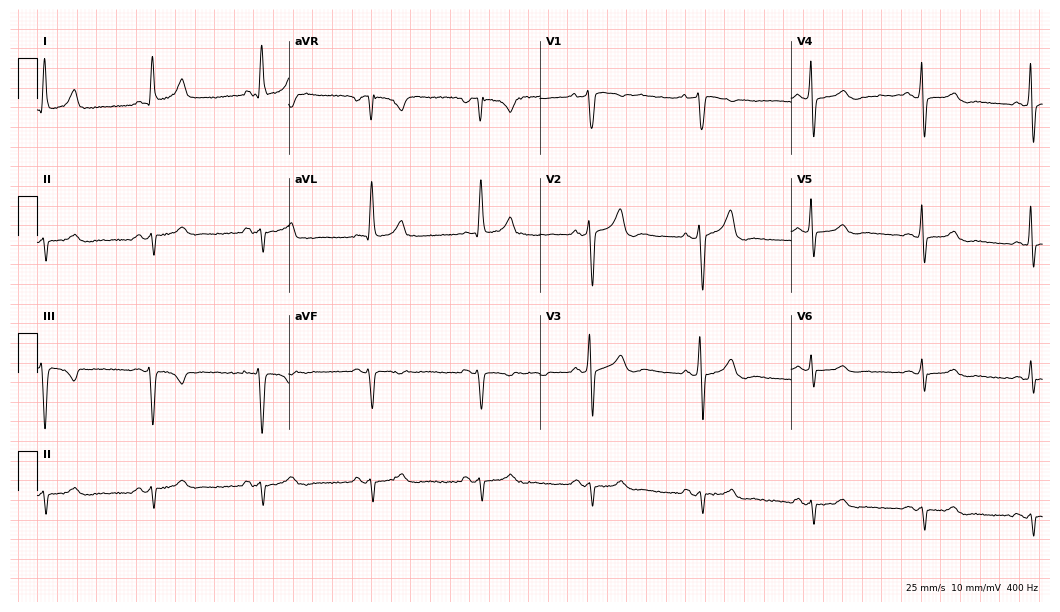
Resting 12-lead electrocardiogram. Patient: a 76-year-old man. None of these six findings is recorded: first-degree AV block, right bundle branch block, left bundle branch block, sinus bradycardia, atrial fibrillation, sinus tachycardia. Only these six findings were labelled.